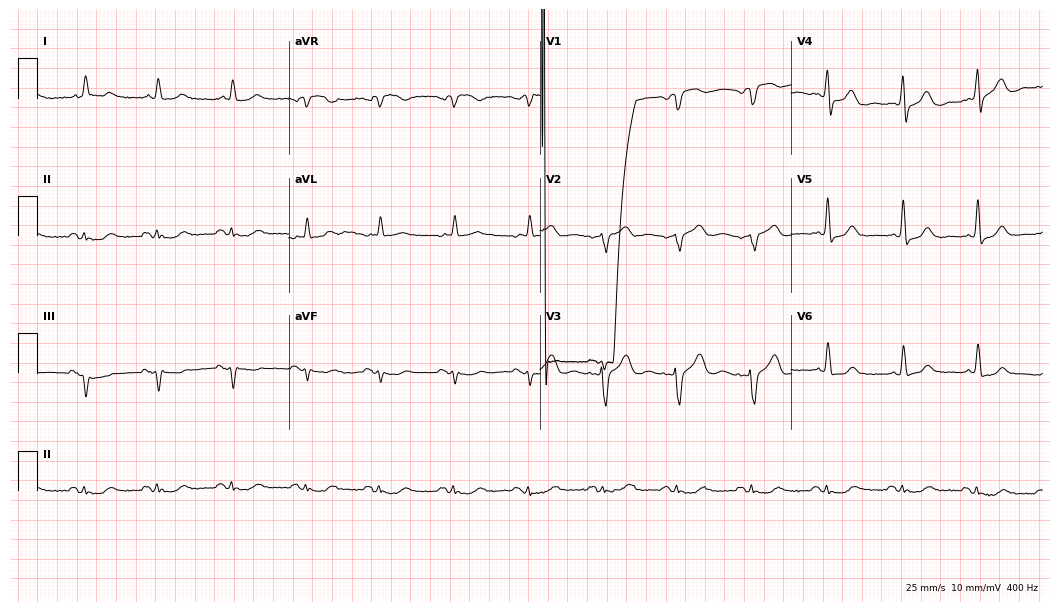
12-lead ECG from a 73-year-old man. No first-degree AV block, right bundle branch block (RBBB), left bundle branch block (LBBB), sinus bradycardia, atrial fibrillation (AF) or sinus tachycardia recorded for this tracing.